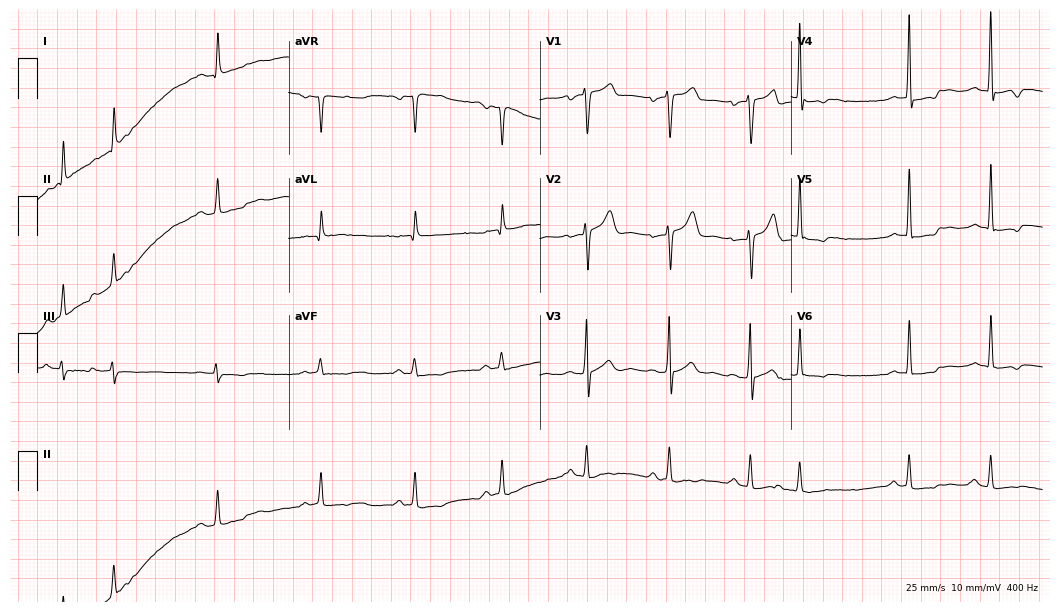
Standard 12-lead ECG recorded from a male patient, 72 years old (10.2-second recording at 400 Hz). None of these six findings is recorded: first-degree AV block, right bundle branch block (RBBB), left bundle branch block (LBBB), sinus bradycardia, atrial fibrillation (AF), sinus tachycardia. Other findings, if any, are not listed.